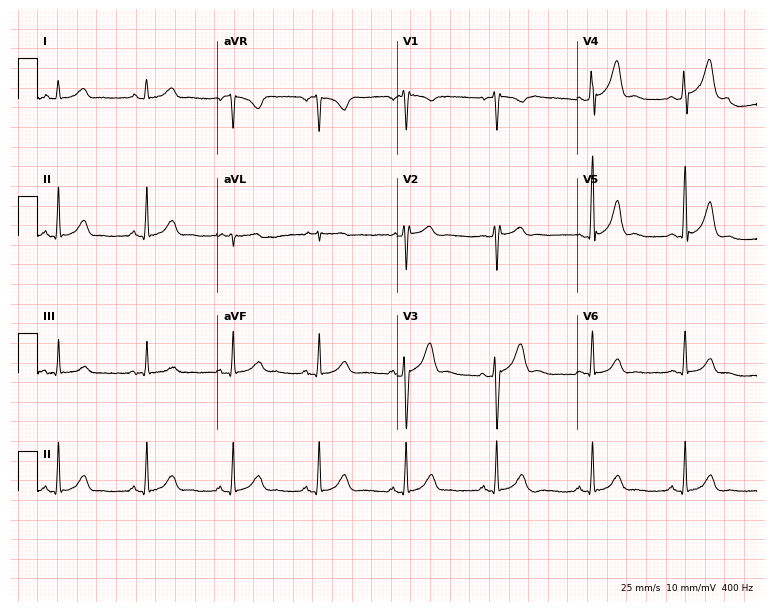
Resting 12-lead electrocardiogram (7.3-second recording at 400 Hz). Patient: a 57-year-old male. Read as a normal ECG.